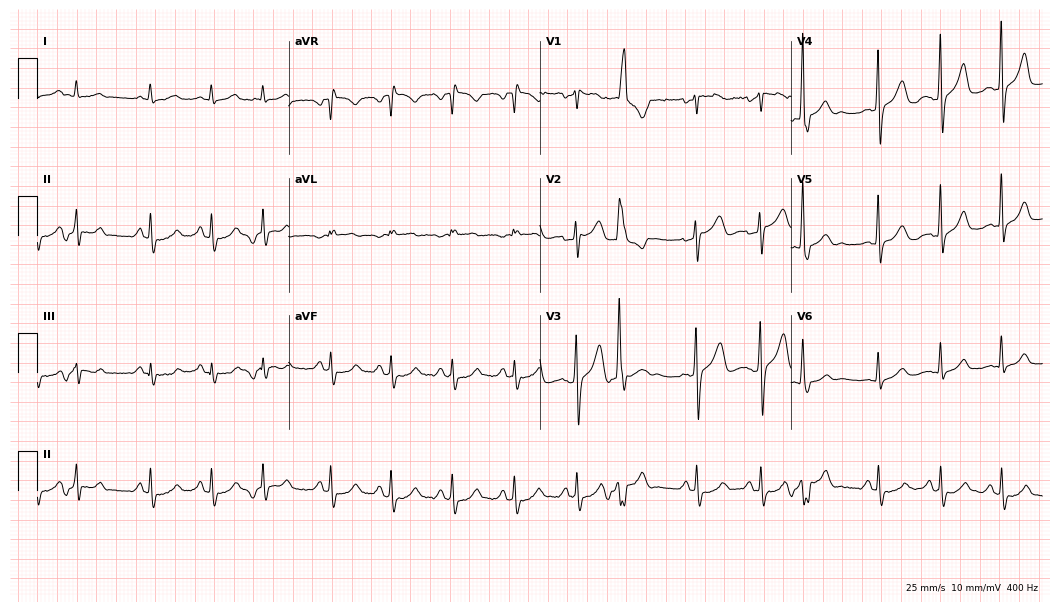
12-lead ECG (10.2-second recording at 400 Hz) from a male, 57 years old. Screened for six findings — first-degree AV block, right bundle branch block, left bundle branch block, sinus bradycardia, atrial fibrillation, sinus tachycardia — none is recorded.